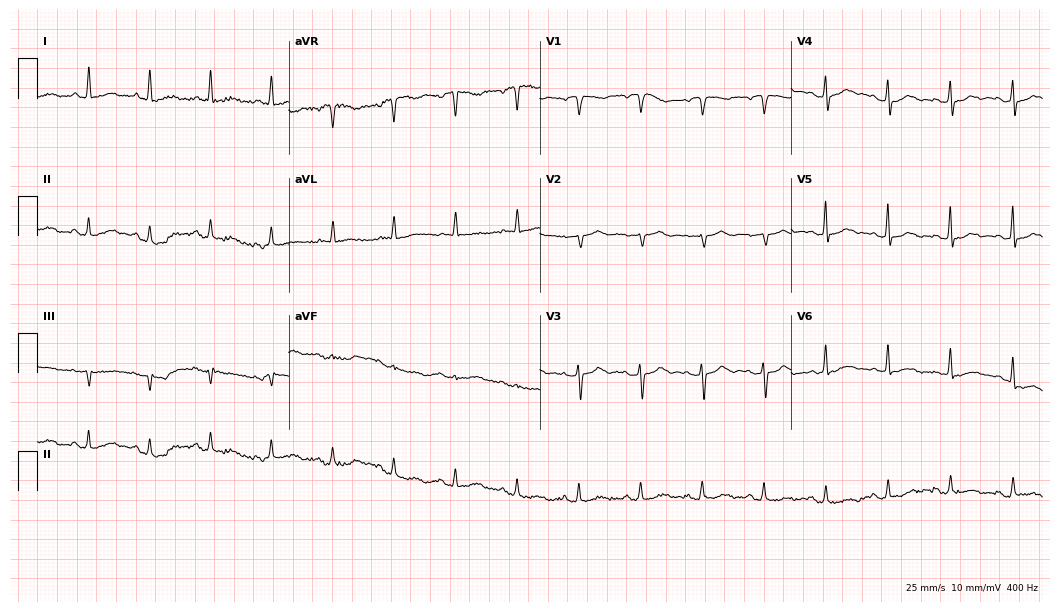
12-lead ECG (10.2-second recording at 400 Hz) from an 82-year-old woman. Screened for six findings — first-degree AV block, right bundle branch block, left bundle branch block, sinus bradycardia, atrial fibrillation, sinus tachycardia — none is recorded. Other findings, if any, are not listed.